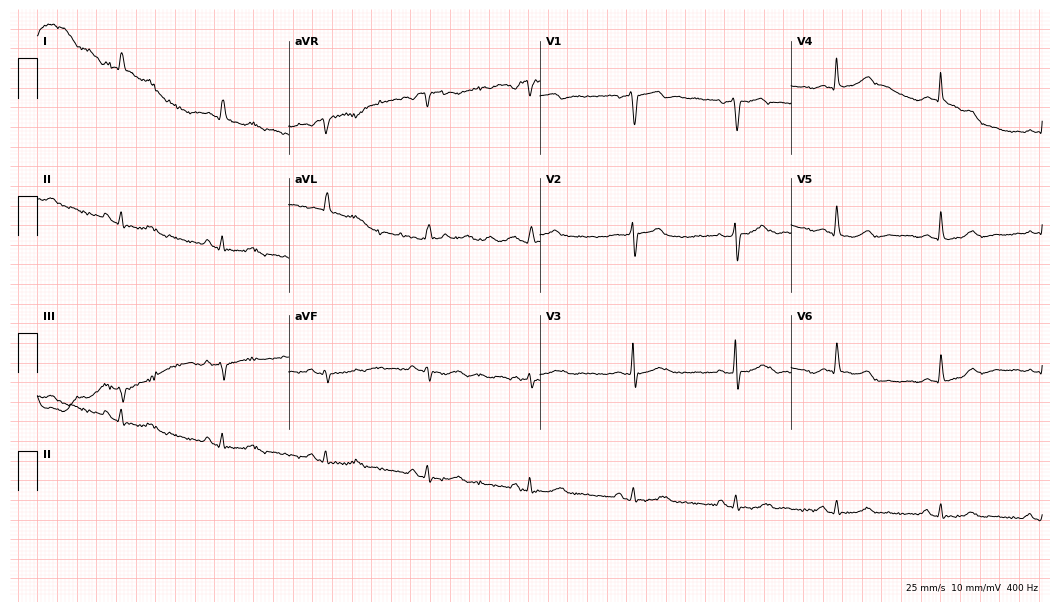
12-lead ECG (10.2-second recording at 400 Hz) from an 80-year-old male patient. Screened for six findings — first-degree AV block, right bundle branch block (RBBB), left bundle branch block (LBBB), sinus bradycardia, atrial fibrillation (AF), sinus tachycardia — none is recorded. Findings outside these six are not listed.